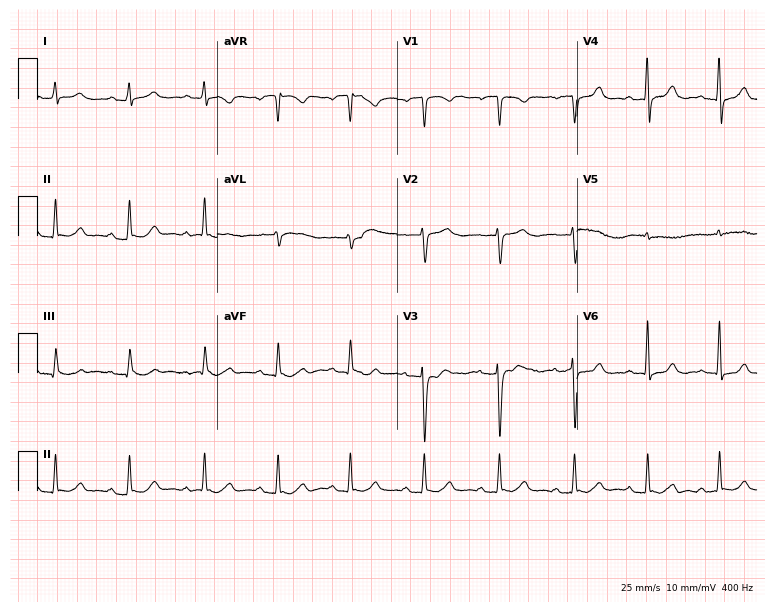
Standard 12-lead ECG recorded from a 45-year-old female. Read as a normal ECG.